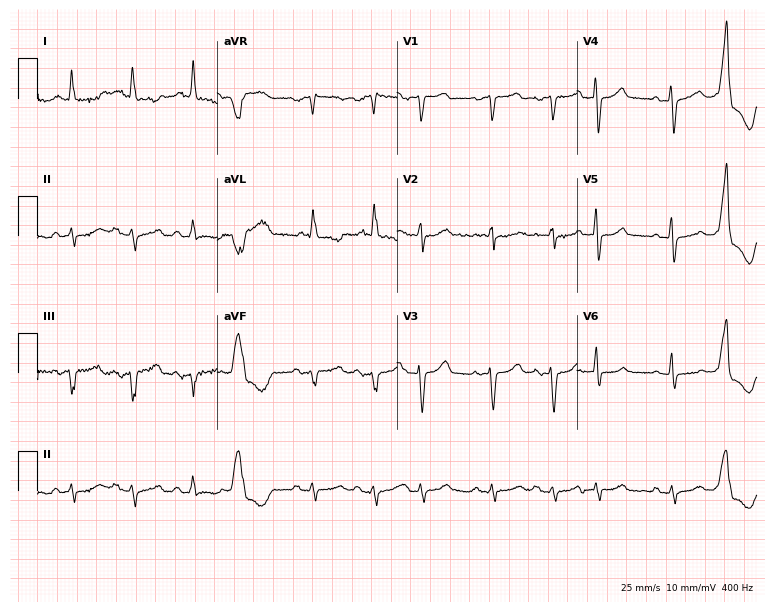
Standard 12-lead ECG recorded from an 83-year-old woman (7.3-second recording at 400 Hz). None of these six findings is recorded: first-degree AV block, right bundle branch block (RBBB), left bundle branch block (LBBB), sinus bradycardia, atrial fibrillation (AF), sinus tachycardia. Other findings, if any, are not listed.